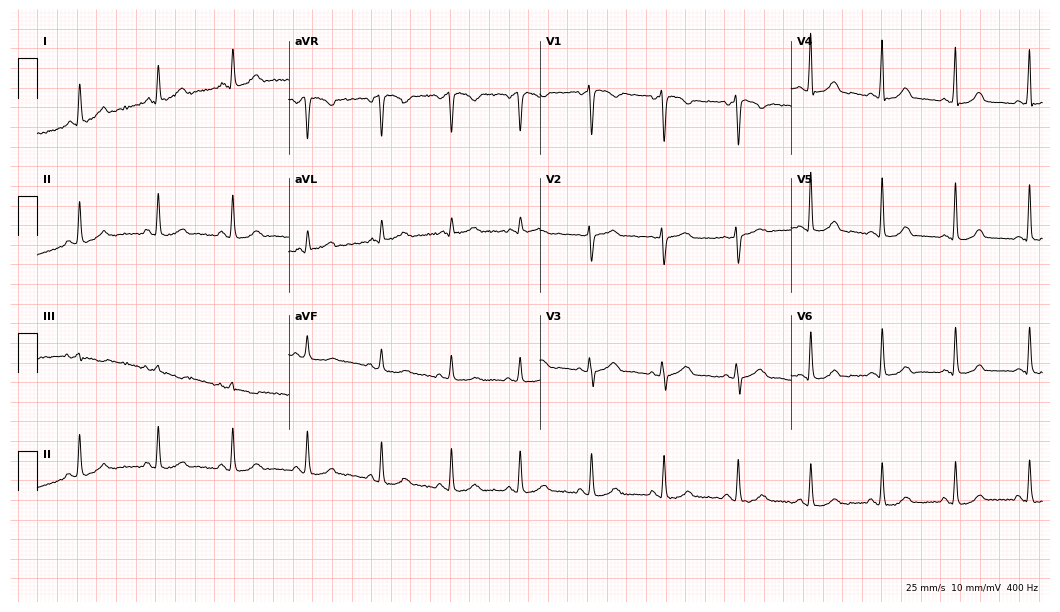
12-lead ECG from a female patient, 50 years old. Labelled as a normal ECG.